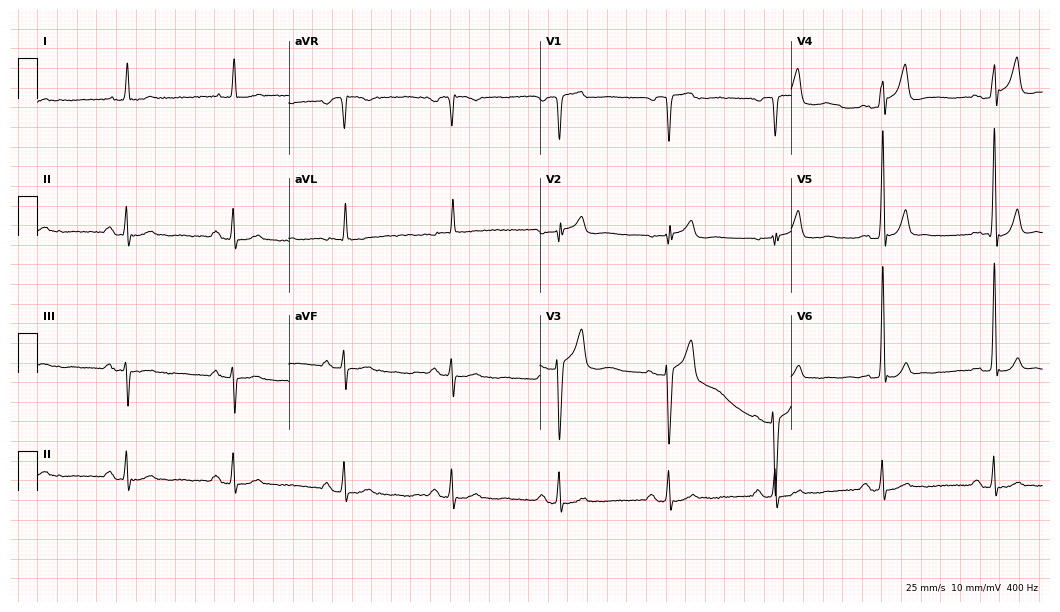
Standard 12-lead ECG recorded from a male patient, 81 years old. None of these six findings is recorded: first-degree AV block, right bundle branch block, left bundle branch block, sinus bradycardia, atrial fibrillation, sinus tachycardia. Only these six findings were labelled.